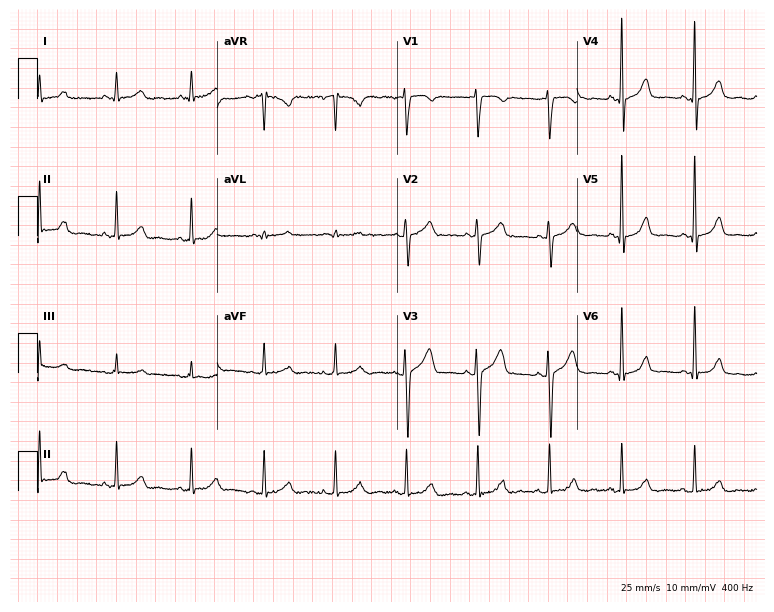
12-lead ECG from a 37-year-old male patient. Screened for six findings — first-degree AV block, right bundle branch block, left bundle branch block, sinus bradycardia, atrial fibrillation, sinus tachycardia — none is recorded.